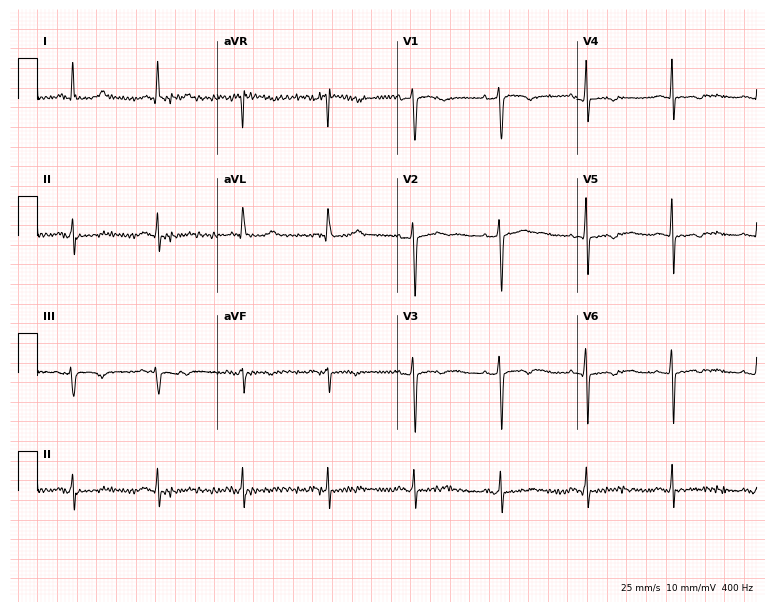
12-lead ECG from a 59-year-old female patient (7.3-second recording at 400 Hz). No first-degree AV block, right bundle branch block, left bundle branch block, sinus bradycardia, atrial fibrillation or sinus tachycardia recorded for this tracing. Findings outside these six are not listed.